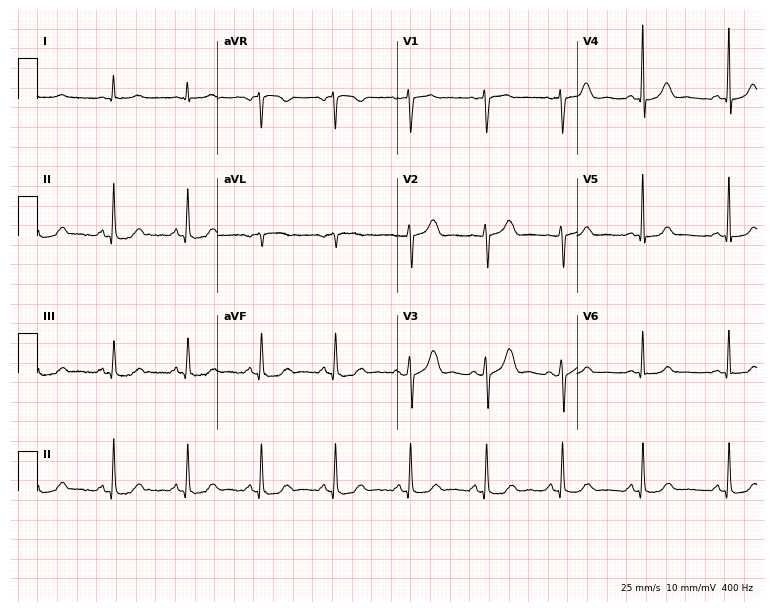
12-lead ECG from a 47-year-old female patient. Screened for six findings — first-degree AV block, right bundle branch block (RBBB), left bundle branch block (LBBB), sinus bradycardia, atrial fibrillation (AF), sinus tachycardia — none is recorded.